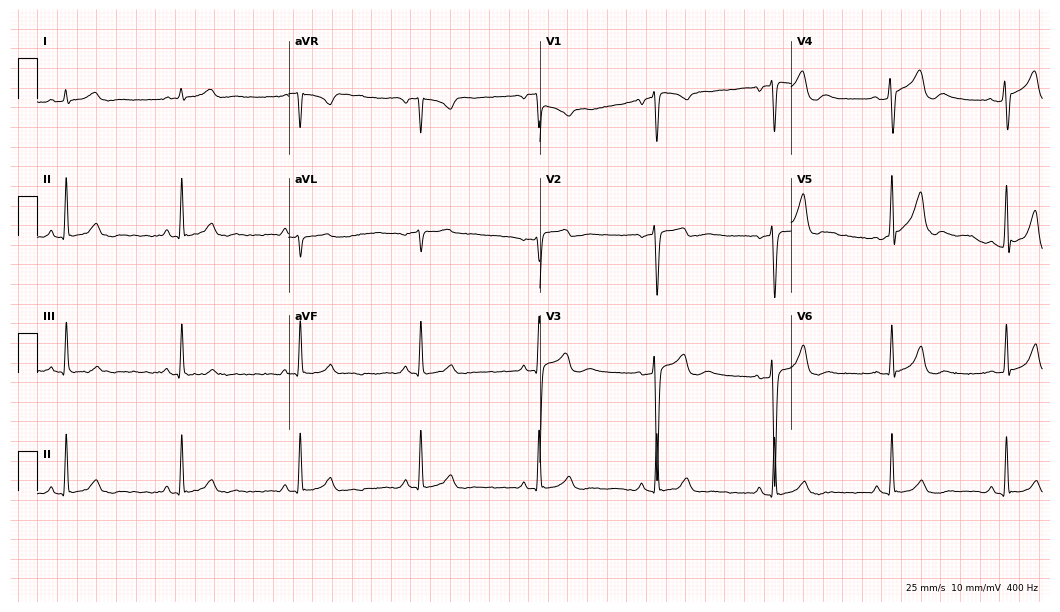
Resting 12-lead electrocardiogram (10.2-second recording at 400 Hz). Patient: a 44-year-old man. None of these six findings is recorded: first-degree AV block, right bundle branch block, left bundle branch block, sinus bradycardia, atrial fibrillation, sinus tachycardia. Findings outside these six are not listed.